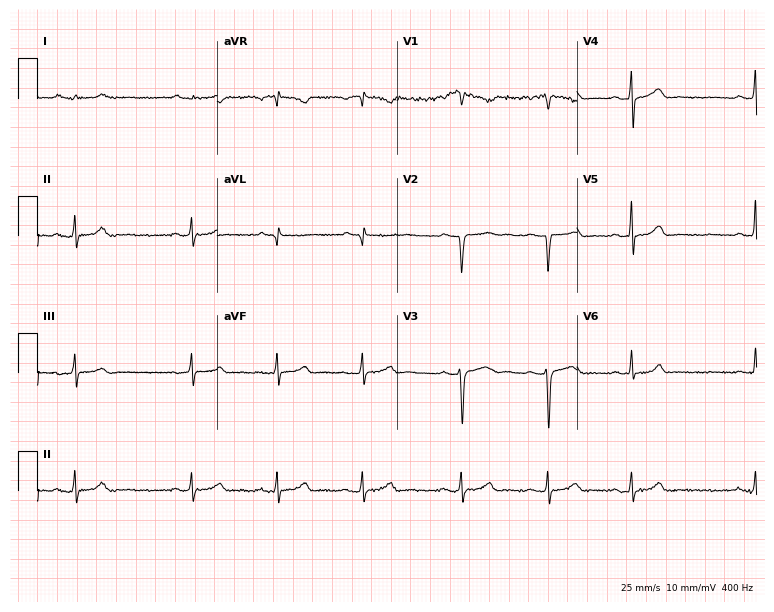
Standard 12-lead ECG recorded from a 17-year-old female patient (7.3-second recording at 400 Hz). Read as a normal ECG.